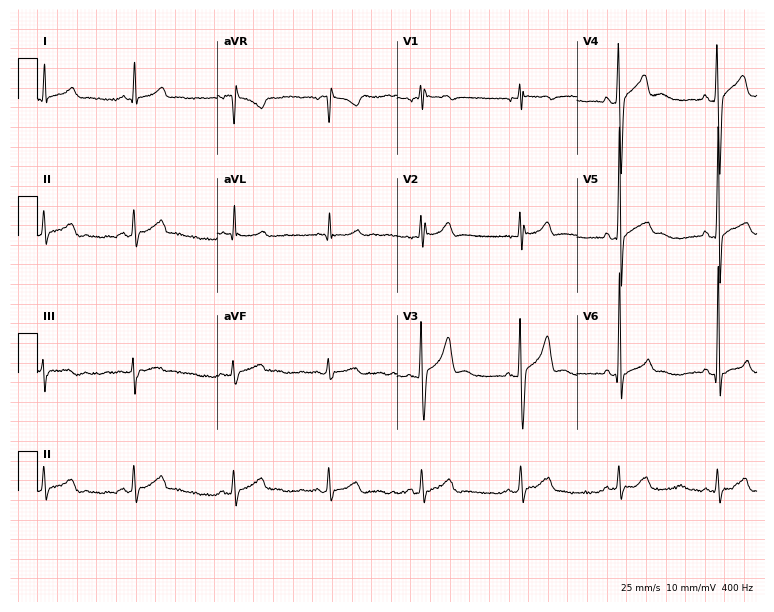
Standard 12-lead ECG recorded from a man, 26 years old. None of these six findings is recorded: first-degree AV block, right bundle branch block (RBBB), left bundle branch block (LBBB), sinus bradycardia, atrial fibrillation (AF), sinus tachycardia.